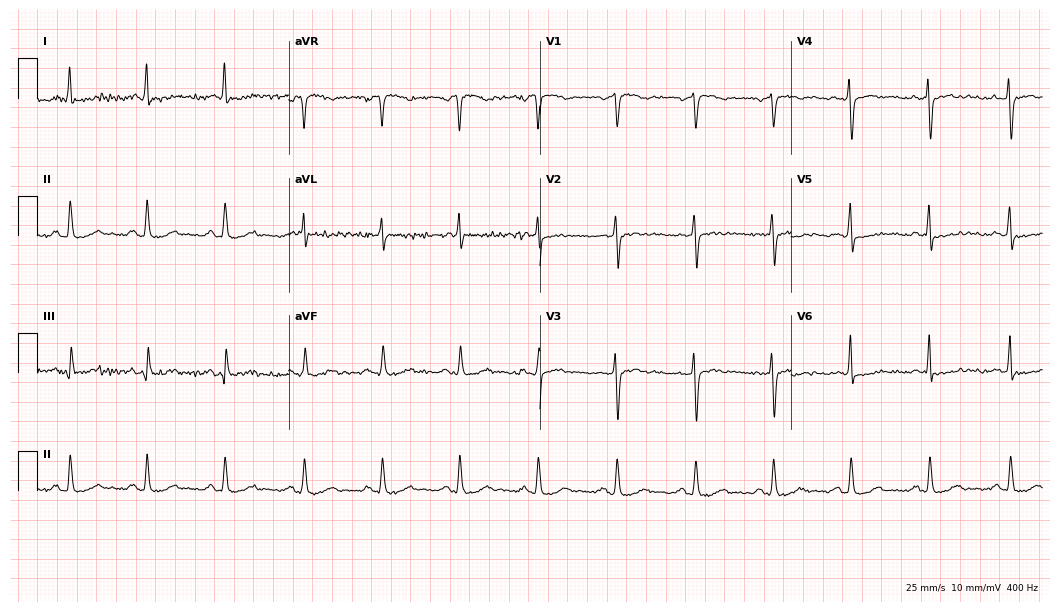
ECG — a female patient, 49 years old. Screened for six findings — first-degree AV block, right bundle branch block (RBBB), left bundle branch block (LBBB), sinus bradycardia, atrial fibrillation (AF), sinus tachycardia — none is recorded.